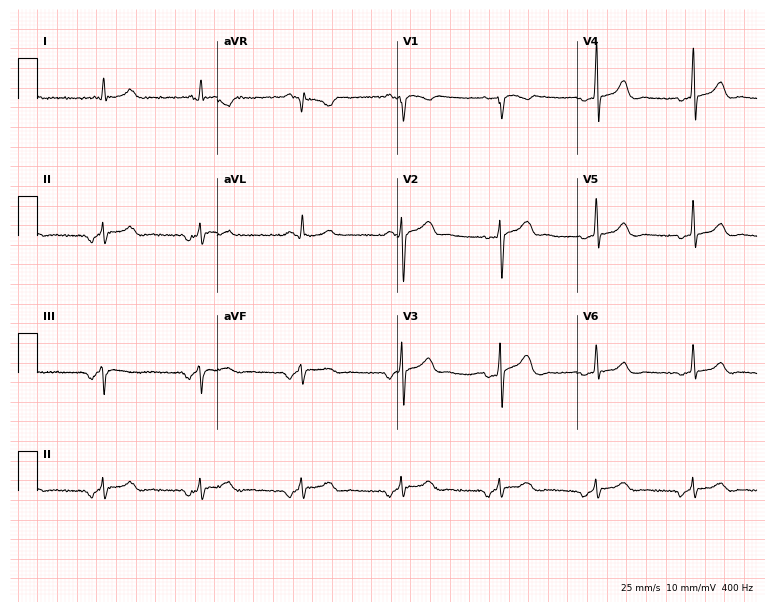
Electrocardiogram (7.3-second recording at 400 Hz), a 45-year-old man. Of the six screened findings (first-degree AV block, right bundle branch block (RBBB), left bundle branch block (LBBB), sinus bradycardia, atrial fibrillation (AF), sinus tachycardia), none is recorded. Only these six findings were labelled.